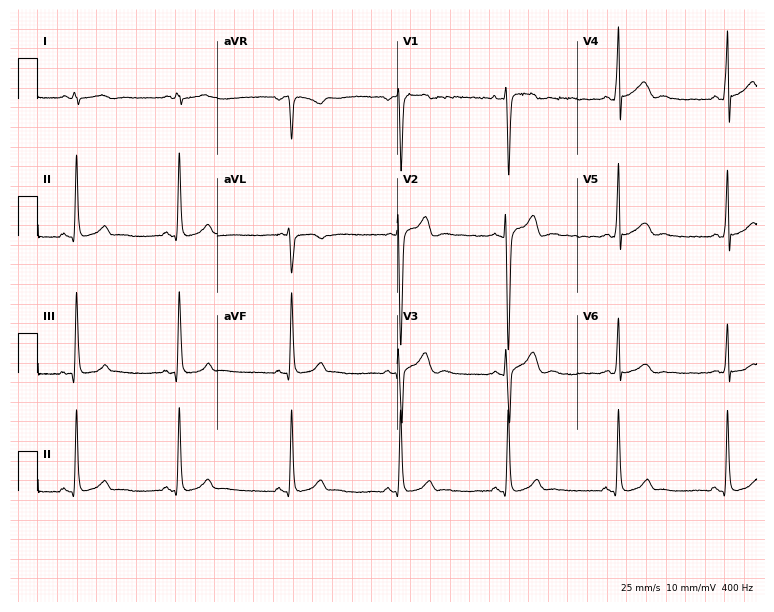
Resting 12-lead electrocardiogram. Patient: a 20-year-old male. None of these six findings is recorded: first-degree AV block, right bundle branch block (RBBB), left bundle branch block (LBBB), sinus bradycardia, atrial fibrillation (AF), sinus tachycardia.